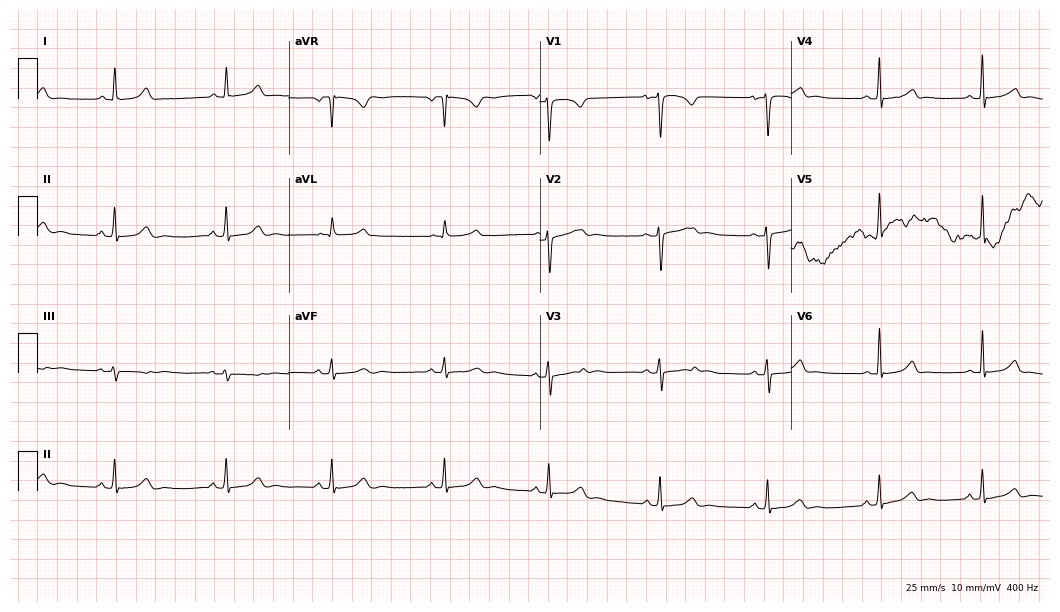
12-lead ECG from a 43-year-old female patient (10.2-second recording at 400 Hz). Recorded interpretation: within normal limits.